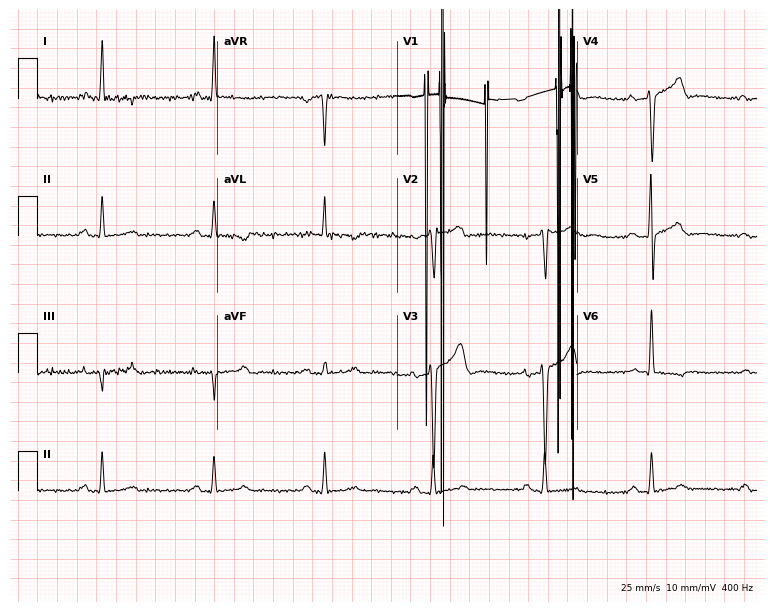
Electrocardiogram (7.3-second recording at 400 Hz), a male, 45 years old. Of the six screened findings (first-degree AV block, right bundle branch block, left bundle branch block, sinus bradycardia, atrial fibrillation, sinus tachycardia), none is recorded.